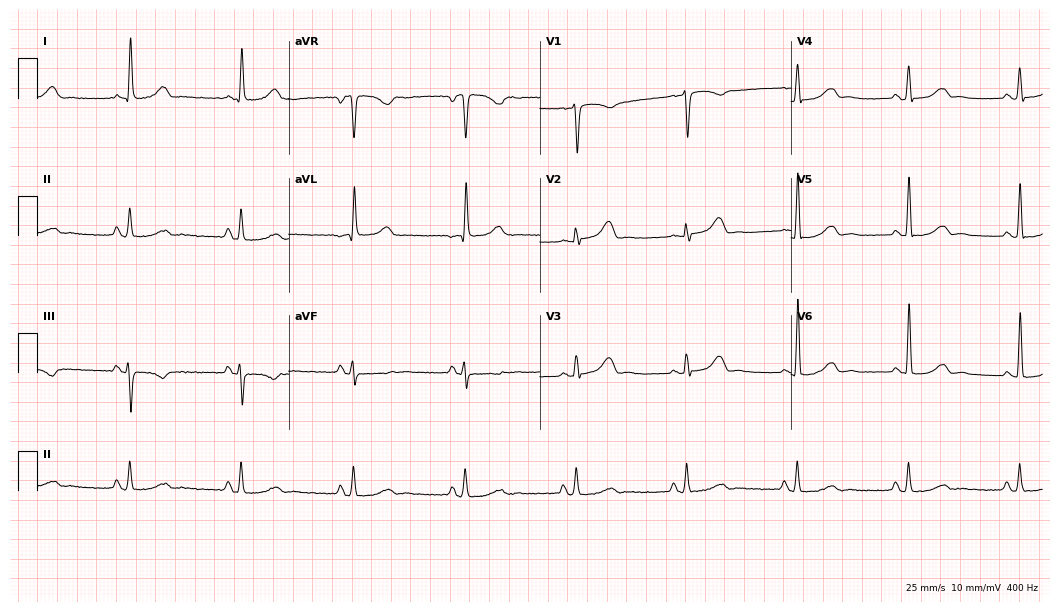
ECG — an 80-year-old female. Labelled as a normal ECG.